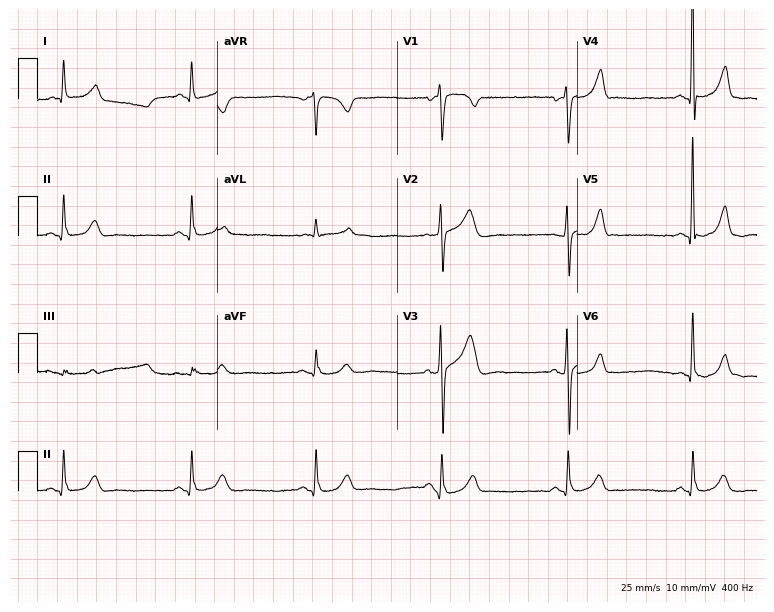
12-lead ECG (7.3-second recording at 400 Hz) from a male patient, 52 years old. Labelled as a normal ECG.